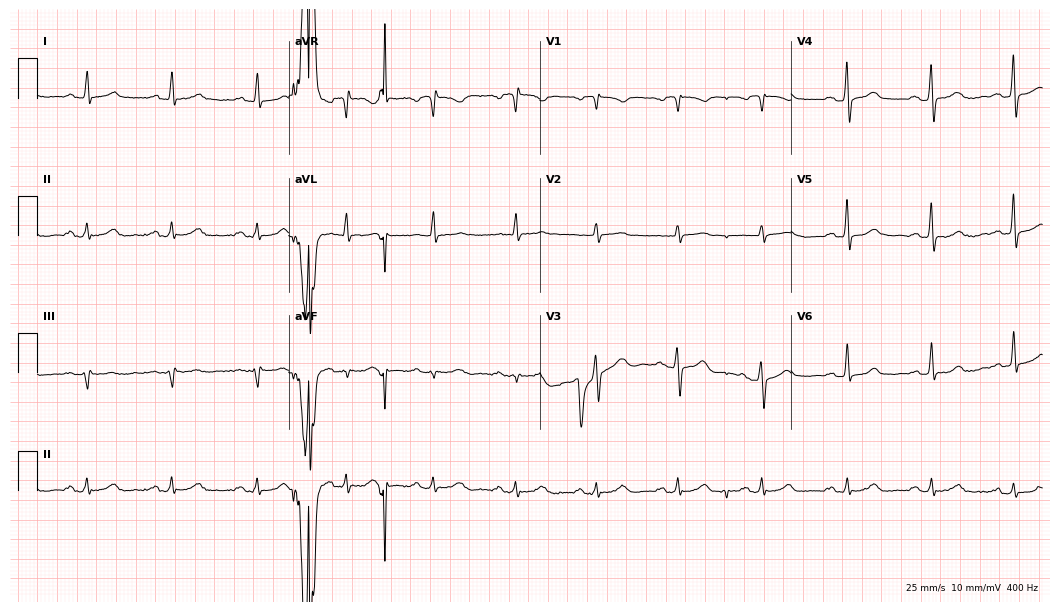
ECG — a male, 40 years old. Labelled as a normal ECG.